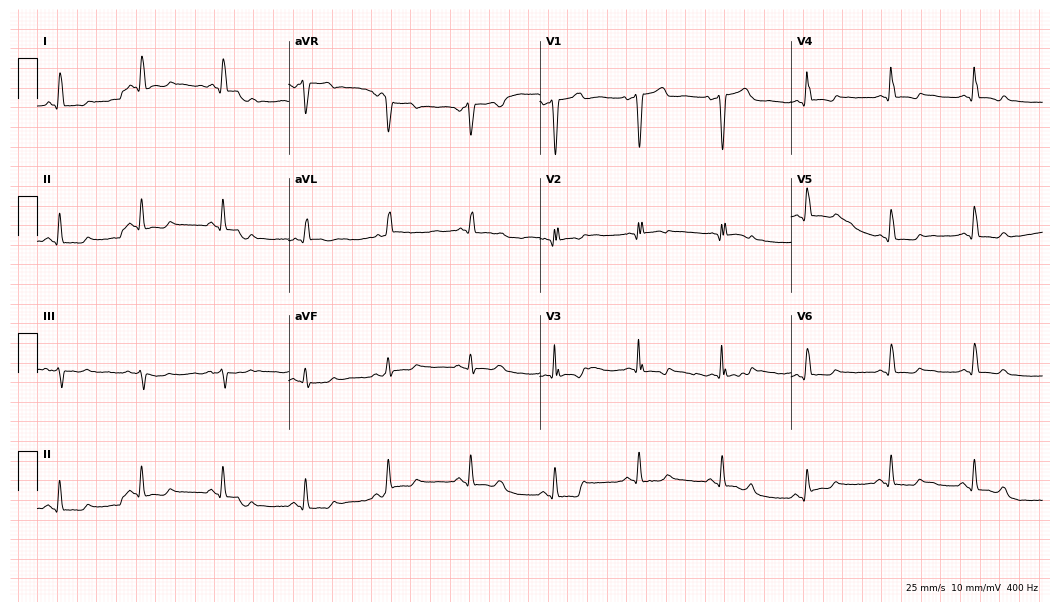
Electrocardiogram, a male patient, 58 years old. Of the six screened findings (first-degree AV block, right bundle branch block, left bundle branch block, sinus bradycardia, atrial fibrillation, sinus tachycardia), none is recorded. Findings outside these six are not listed.